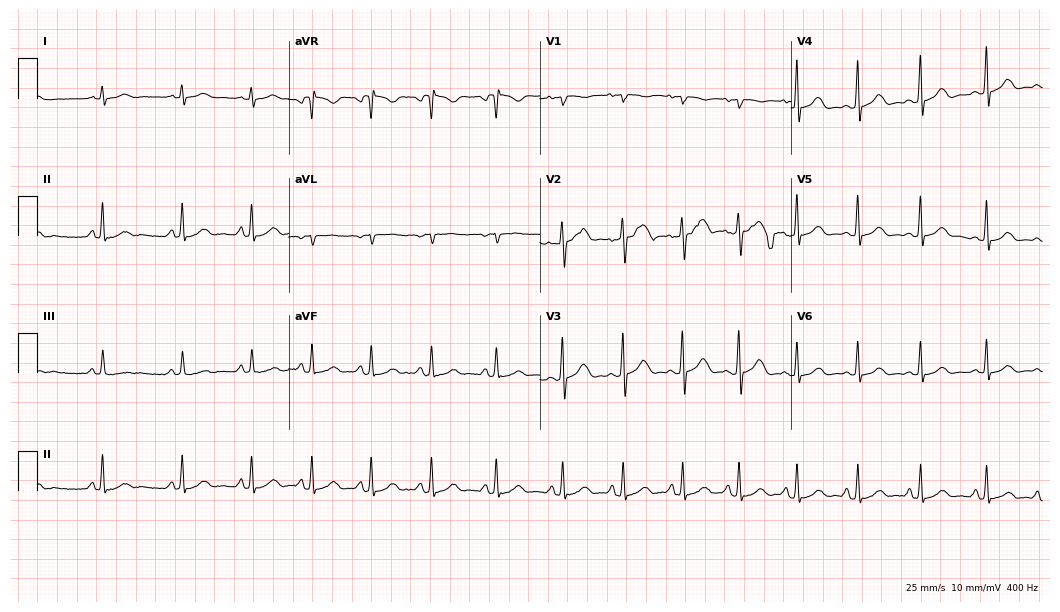
ECG — a 21-year-old woman. Screened for six findings — first-degree AV block, right bundle branch block (RBBB), left bundle branch block (LBBB), sinus bradycardia, atrial fibrillation (AF), sinus tachycardia — none is recorded.